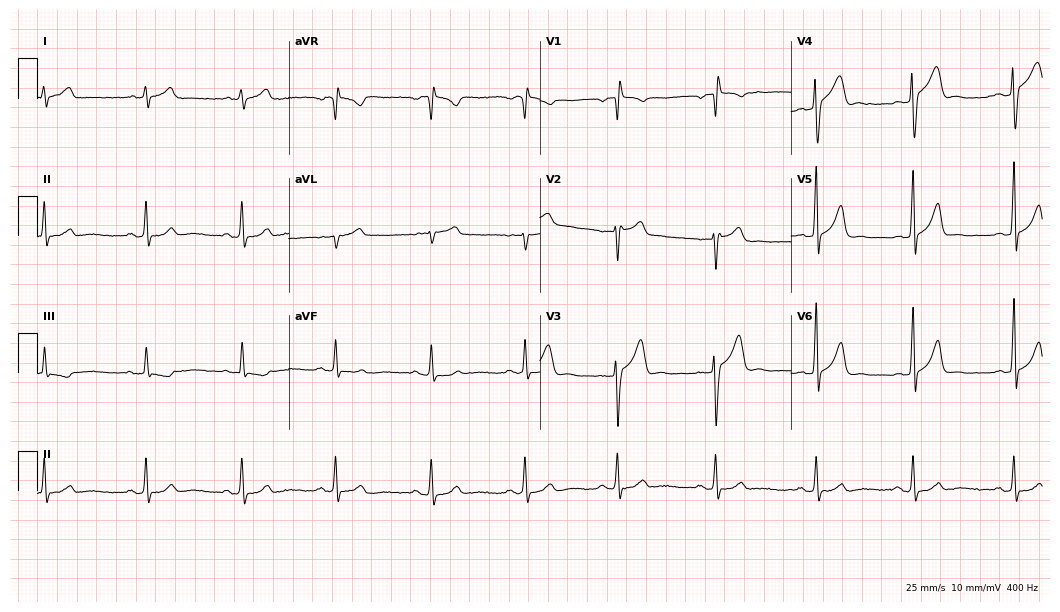
Standard 12-lead ECG recorded from a 24-year-old male patient. Read as a normal ECG.